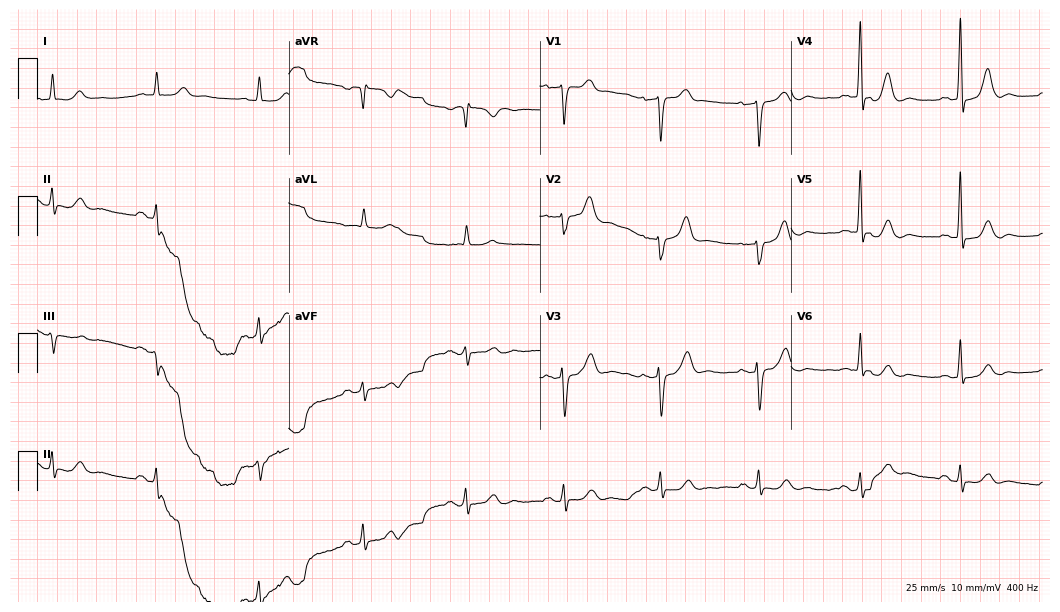
Standard 12-lead ECG recorded from a female, 72 years old (10.2-second recording at 400 Hz). None of these six findings is recorded: first-degree AV block, right bundle branch block, left bundle branch block, sinus bradycardia, atrial fibrillation, sinus tachycardia. Other findings, if any, are not listed.